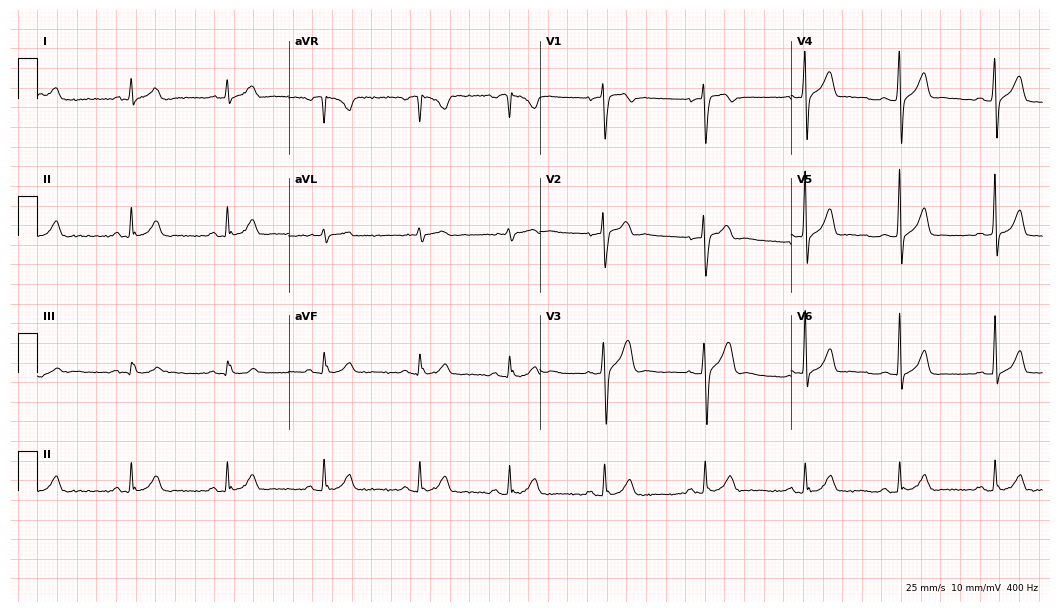
Standard 12-lead ECG recorded from a man, 37 years old (10.2-second recording at 400 Hz). Read as a normal ECG.